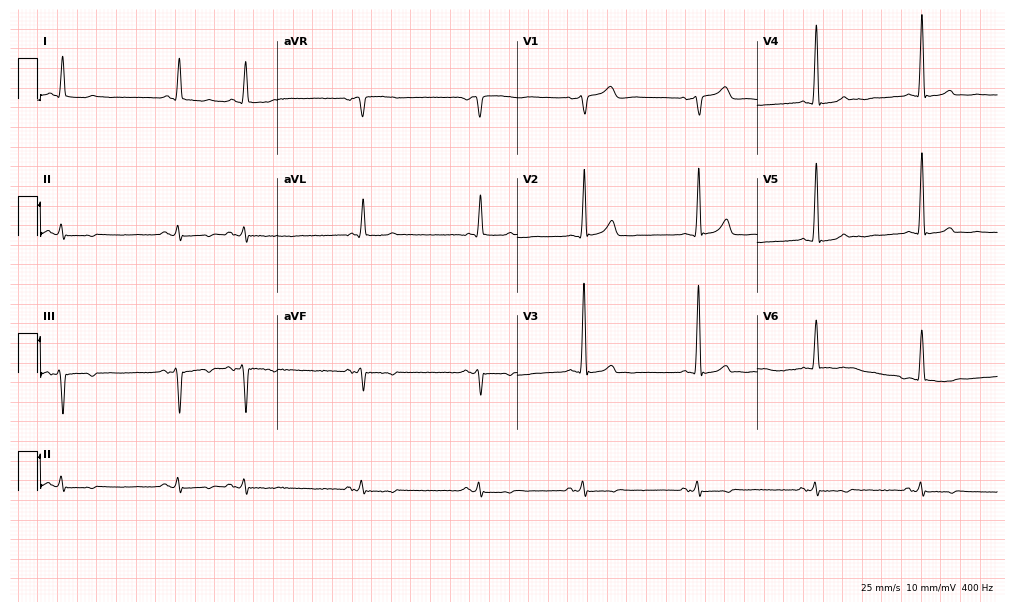
Standard 12-lead ECG recorded from an 85-year-old man. None of these six findings is recorded: first-degree AV block, right bundle branch block, left bundle branch block, sinus bradycardia, atrial fibrillation, sinus tachycardia. Only these six findings were labelled.